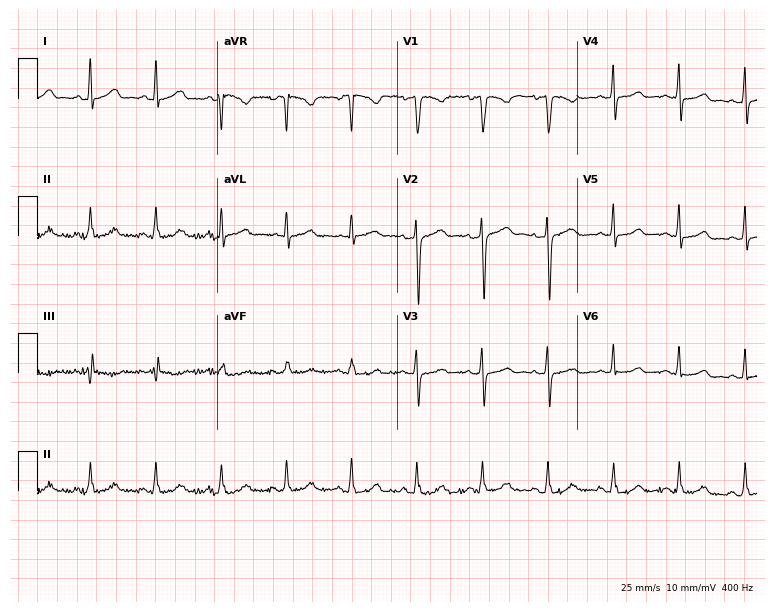
ECG (7.3-second recording at 400 Hz) — a female patient, 38 years old. Labelled as a normal ECG.